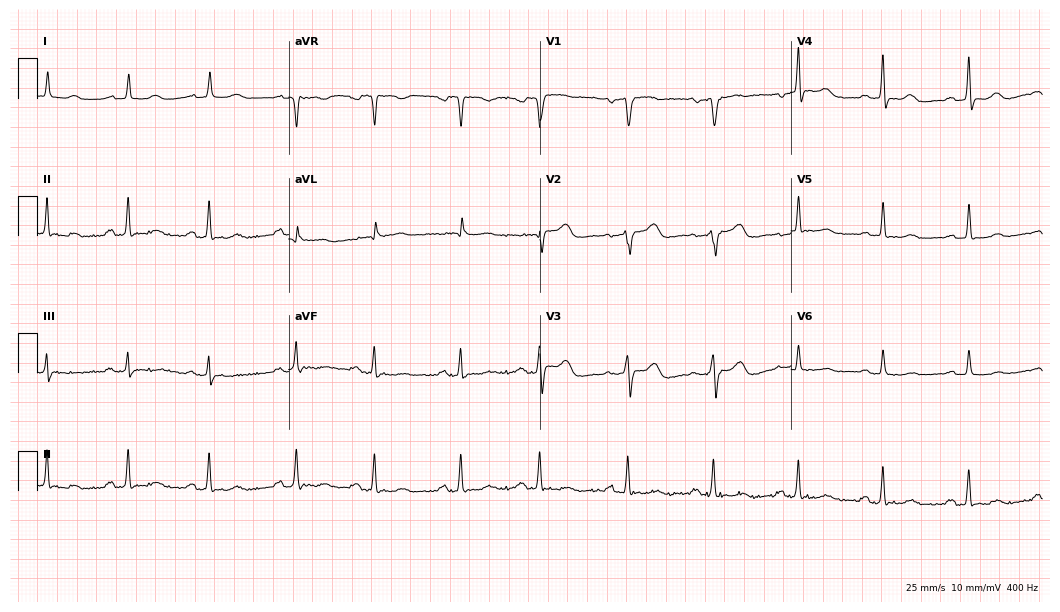
Electrocardiogram (10.2-second recording at 400 Hz), a female patient, 73 years old. Of the six screened findings (first-degree AV block, right bundle branch block, left bundle branch block, sinus bradycardia, atrial fibrillation, sinus tachycardia), none is recorded.